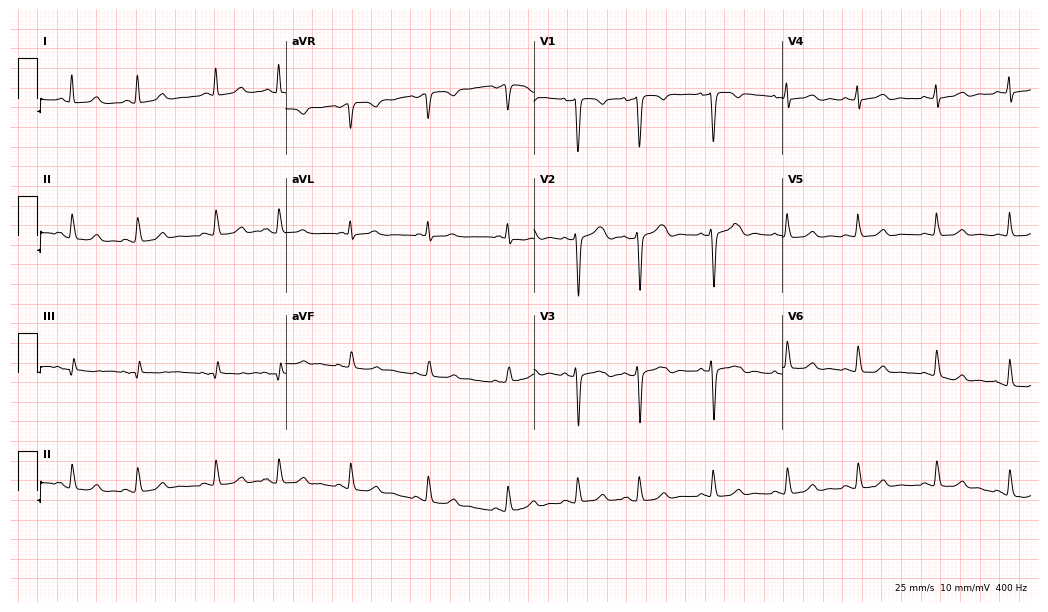
Electrocardiogram (10.1-second recording at 400 Hz), a female, 54 years old. Overall reading on record: normal ECG.